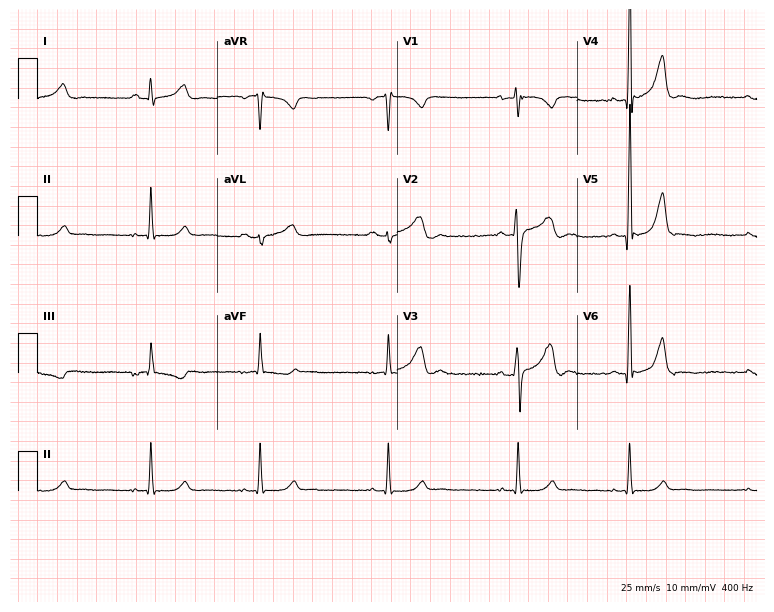
12-lead ECG from a 31-year-old male. Recorded interpretation: within normal limits.